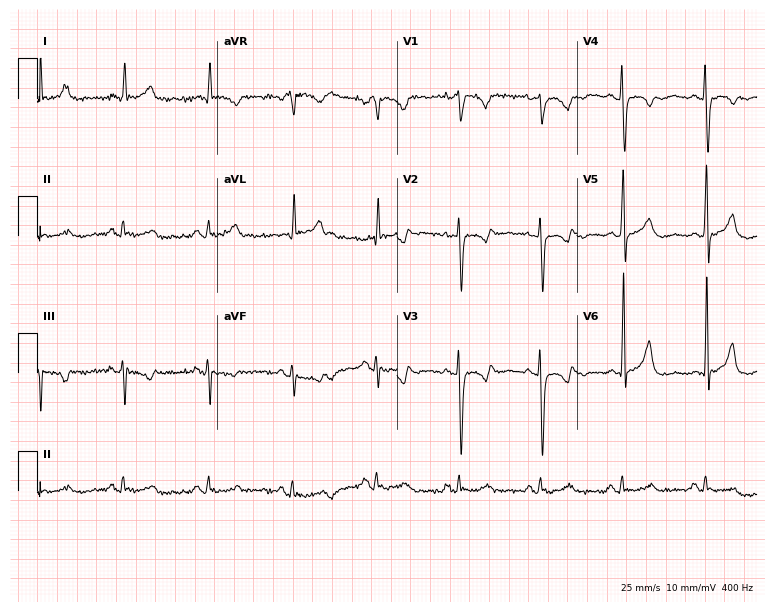
Resting 12-lead electrocardiogram (7.3-second recording at 400 Hz). Patient: a man, 65 years old. None of these six findings is recorded: first-degree AV block, right bundle branch block, left bundle branch block, sinus bradycardia, atrial fibrillation, sinus tachycardia.